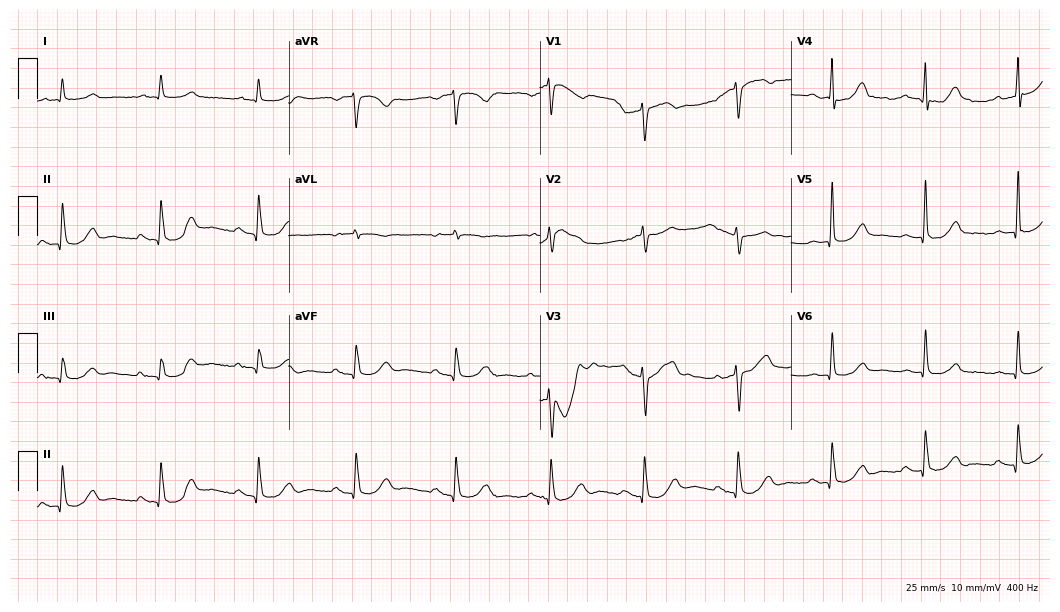
ECG (10.2-second recording at 400 Hz) — a 74-year-old man. Findings include first-degree AV block.